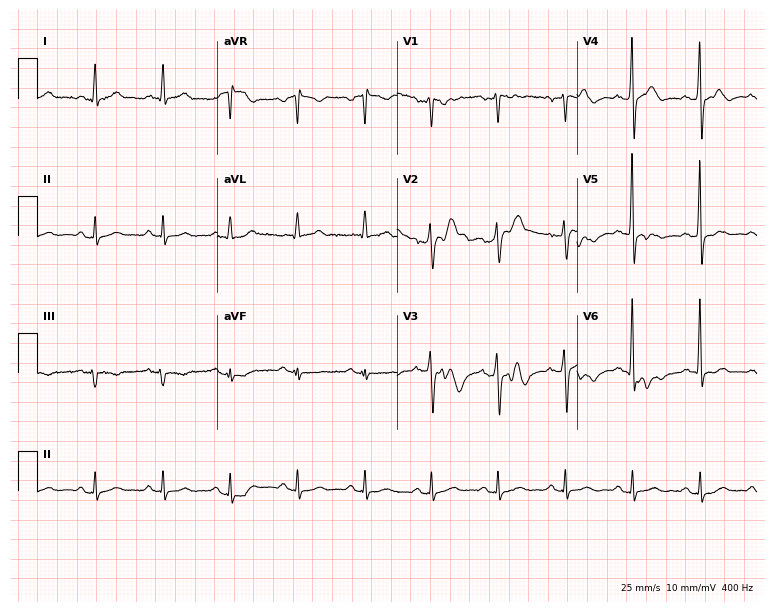
Electrocardiogram, a 63-year-old male. Of the six screened findings (first-degree AV block, right bundle branch block, left bundle branch block, sinus bradycardia, atrial fibrillation, sinus tachycardia), none is recorded. Only these six findings were labelled.